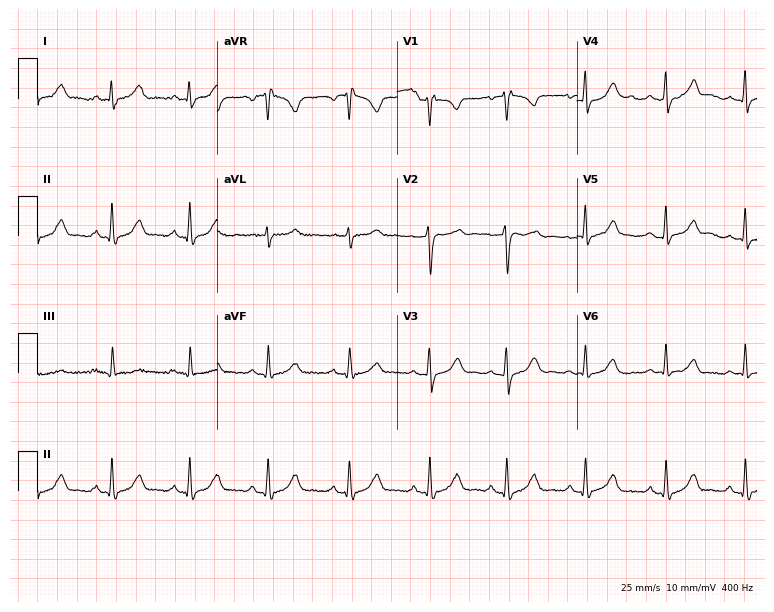
12-lead ECG from a female patient, 39 years old (7.3-second recording at 400 Hz). No first-degree AV block, right bundle branch block (RBBB), left bundle branch block (LBBB), sinus bradycardia, atrial fibrillation (AF) or sinus tachycardia recorded for this tracing. Findings outside these six are not listed.